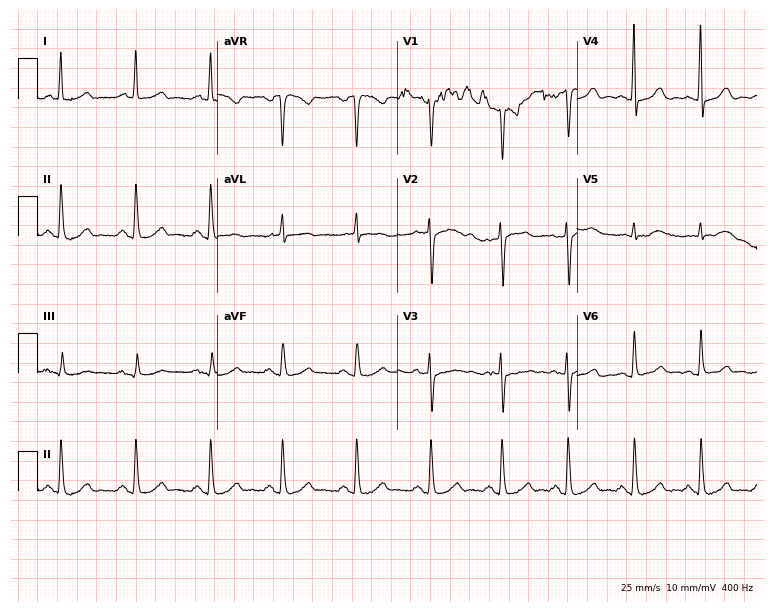
ECG (7.3-second recording at 400 Hz) — a female, 56 years old. Labelled as a normal ECG.